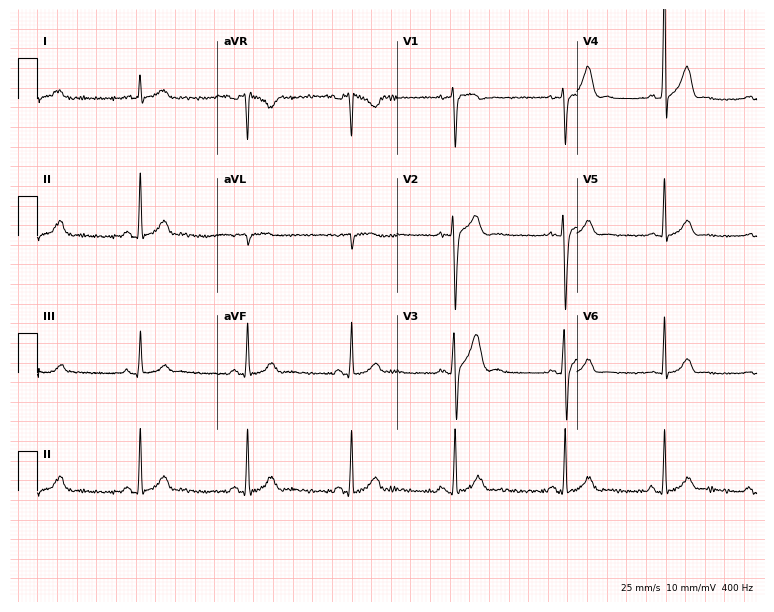
Resting 12-lead electrocardiogram. Patient: a male, 22 years old. Read as a normal ECG.